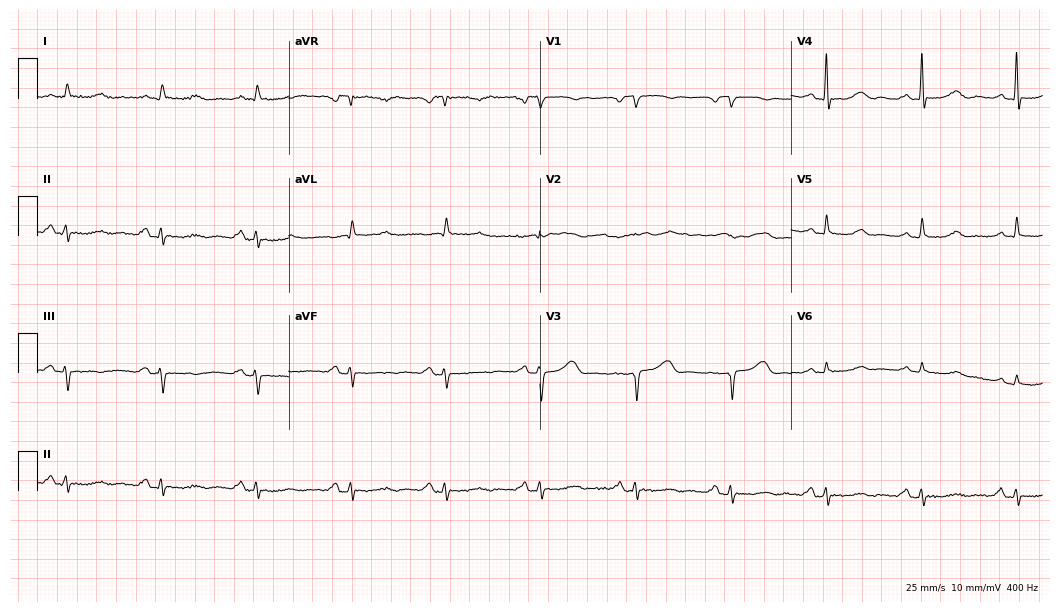
Electrocardiogram (10.2-second recording at 400 Hz), a man, 84 years old. Of the six screened findings (first-degree AV block, right bundle branch block, left bundle branch block, sinus bradycardia, atrial fibrillation, sinus tachycardia), none is recorded. Only these six findings were labelled.